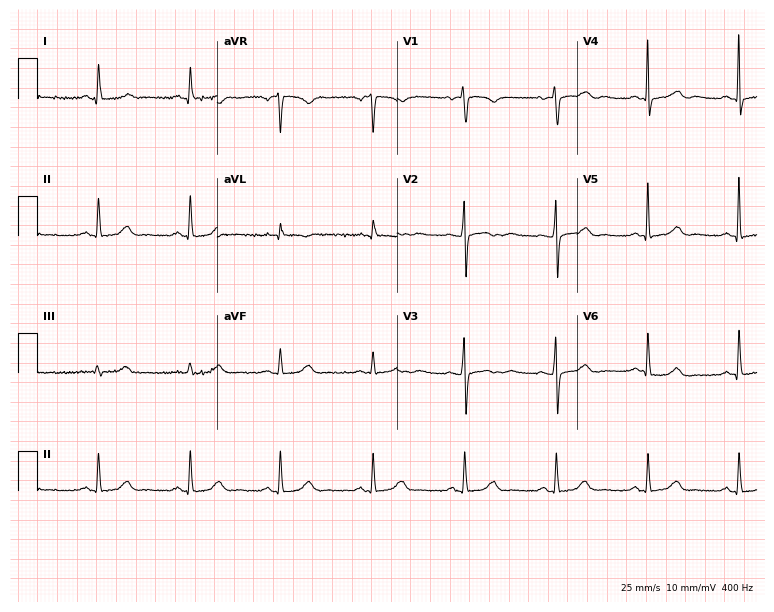
Standard 12-lead ECG recorded from a 65-year-old female (7.3-second recording at 400 Hz). Read as a normal ECG.